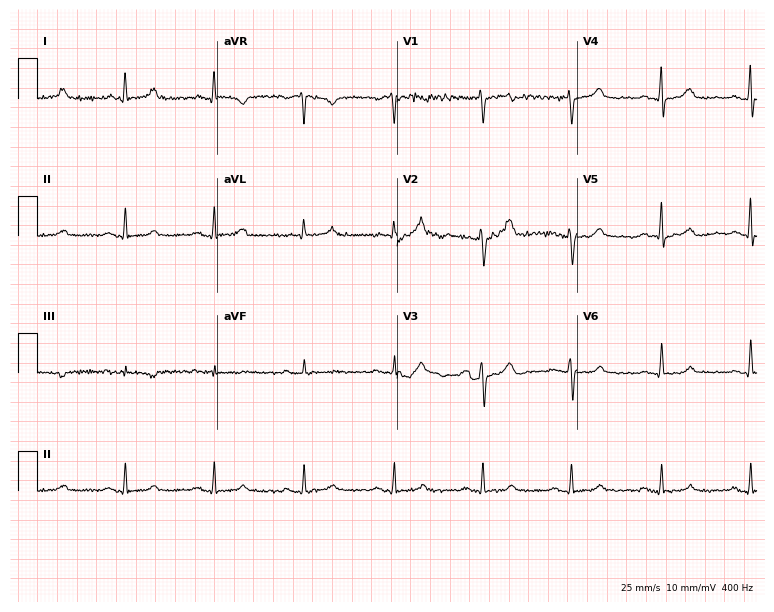
12-lead ECG from a woman, 52 years old. Labelled as a normal ECG.